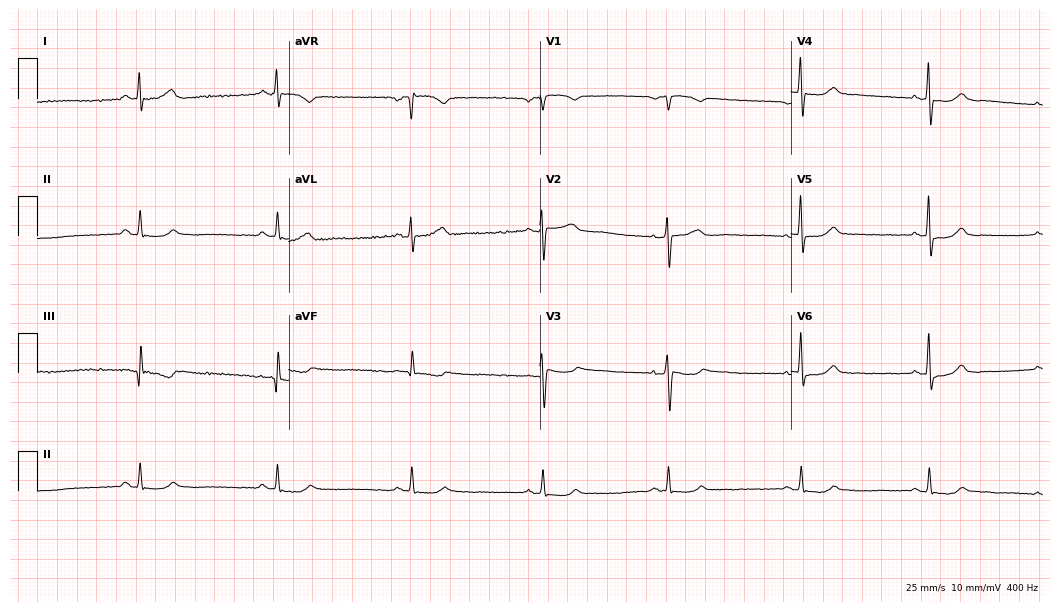
12-lead ECG from a 65-year-old female patient (10.2-second recording at 400 Hz). No first-degree AV block, right bundle branch block (RBBB), left bundle branch block (LBBB), sinus bradycardia, atrial fibrillation (AF) or sinus tachycardia recorded for this tracing.